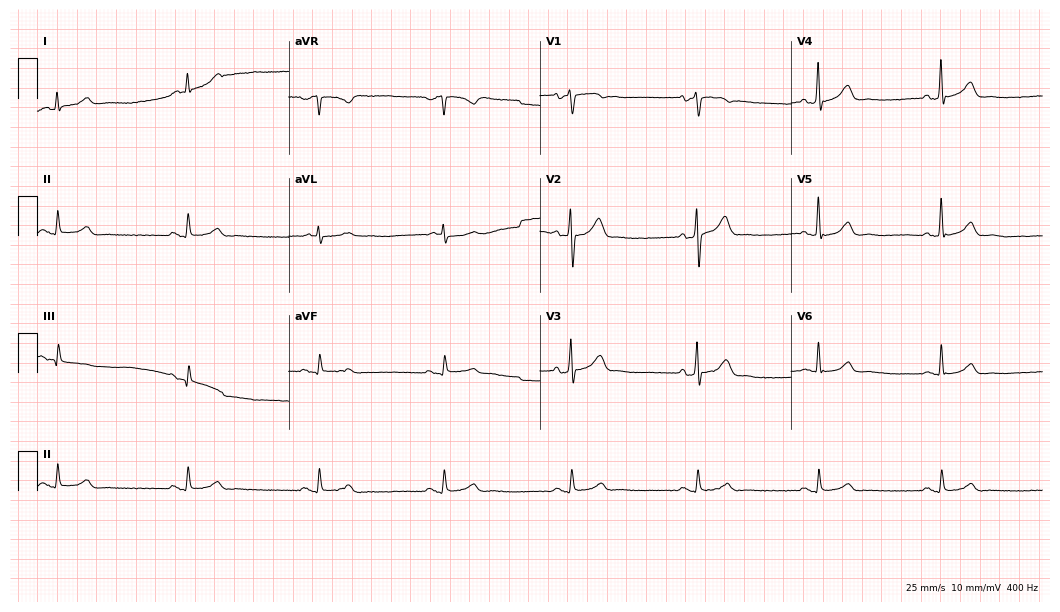
ECG (10.2-second recording at 400 Hz) — a 64-year-old male patient. Findings include sinus bradycardia (a sinus rate of 50 beats per minute or less).